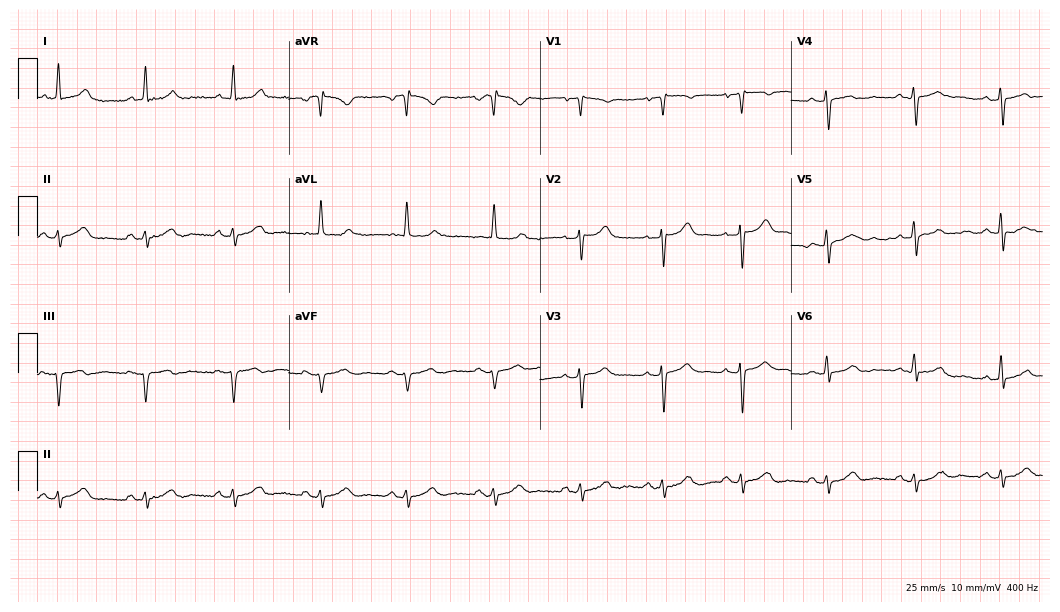
ECG (10.2-second recording at 400 Hz) — a man, 71 years old. Screened for six findings — first-degree AV block, right bundle branch block (RBBB), left bundle branch block (LBBB), sinus bradycardia, atrial fibrillation (AF), sinus tachycardia — none is recorded. Only these six findings were labelled.